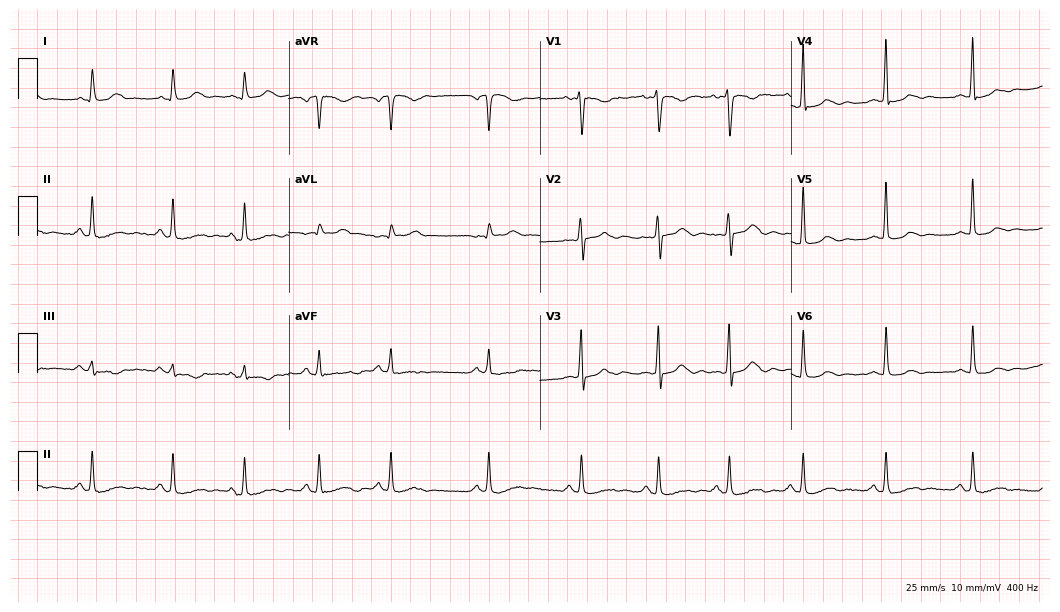
Standard 12-lead ECG recorded from a female patient, 37 years old (10.2-second recording at 400 Hz). None of these six findings is recorded: first-degree AV block, right bundle branch block, left bundle branch block, sinus bradycardia, atrial fibrillation, sinus tachycardia. Other findings, if any, are not listed.